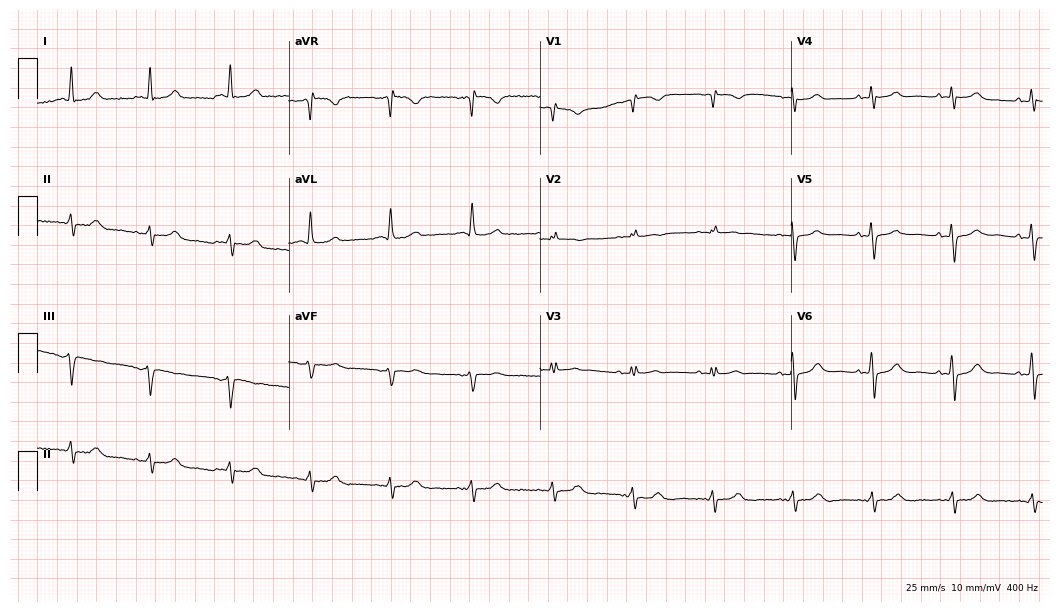
Electrocardiogram (10.2-second recording at 400 Hz), a 66-year-old female patient. Of the six screened findings (first-degree AV block, right bundle branch block (RBBB), left bundle branch block (LBBB), sinus bradycardia, atrial fibrillation (AF), sinus tachycardia), none is recorded.